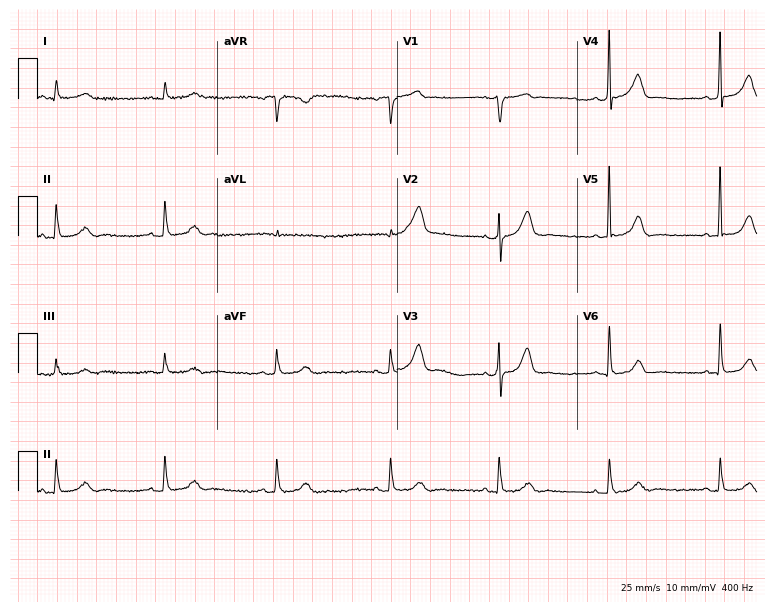
Resting 12-lead electrocardiogram. Patient: a man, 81 years old. Read as a normal ECG.